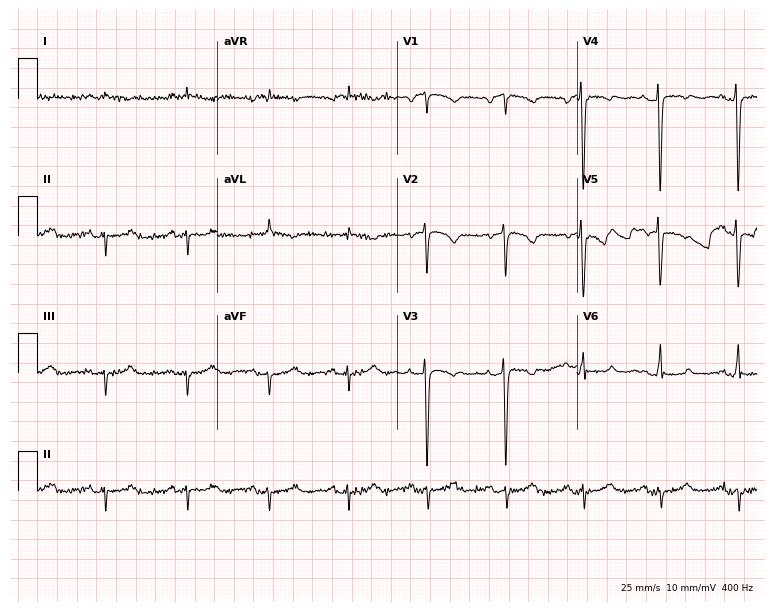
Electrocardiogram (7.3-second recording at 400 Hz), an 80-year-old female. Of the six screened findings (first-degree AV block, right bundle branch block (RBBB), left bundle branch block (LBBB), sinus bradycardia, atrial fibrillation (AF), sinus tachycardia), none is recorded.